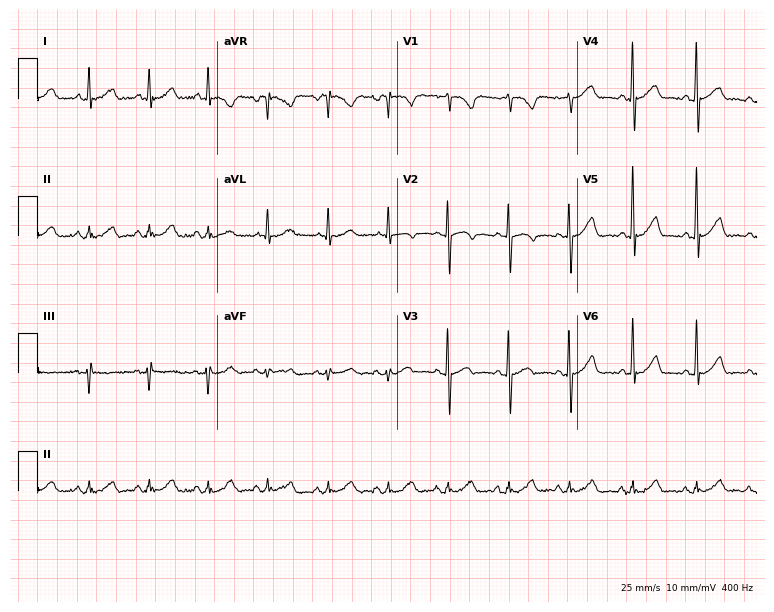
12-lead ECG from a 66-year-old female patient. No first-degree AV block, right bundle branch block (RBBB), left bundle branch block (LBBB), sinus bradycardia, atrial fibrillation (AF) or sinus tachycardia recorded for this tracing. Findings outside these six are not listed.